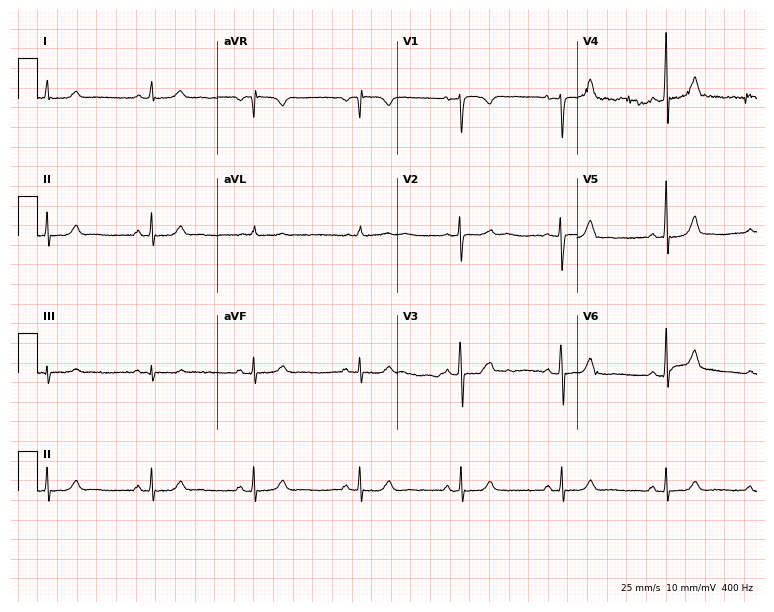
ECG — a 22-year-old female. Labelled as a normal ECG.